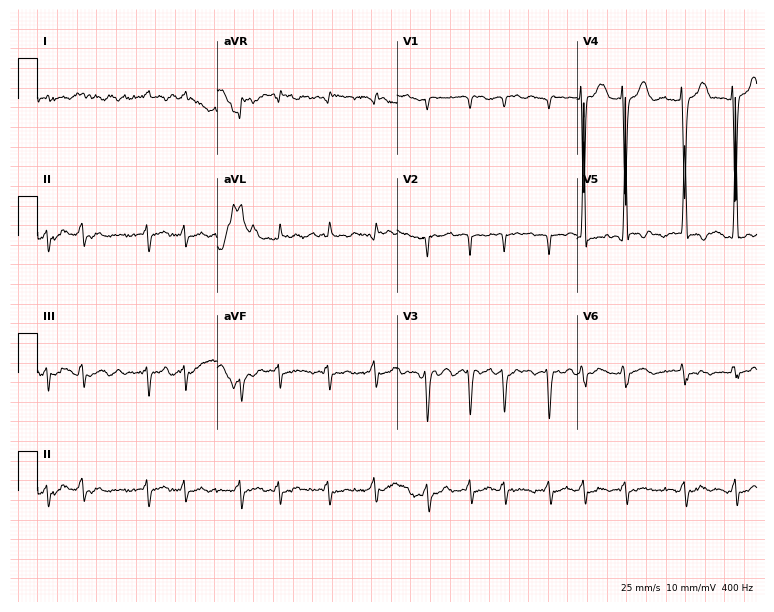
12-lead ECG from a 74-year-old woman (7.3-second recording at 400 Hz). Shows atrial fibrillation.